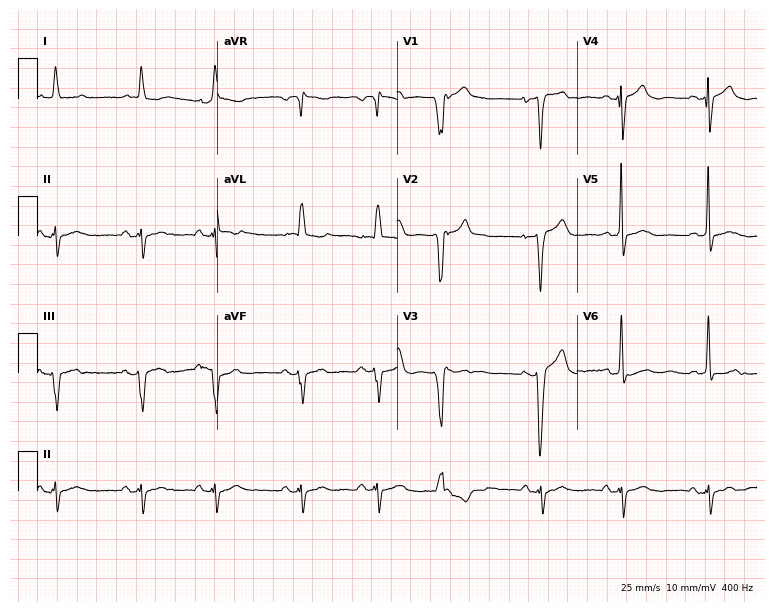
ECG — a female, 85 years old. Screened for six findings — first-degree AV block, right bundle branch block (RBBB), left bundle branch block (LBBB), sinus bradycardia, atrial fibrillation (AF), sinus tachycardia — none is recorded. Findings outside these six are not listed.